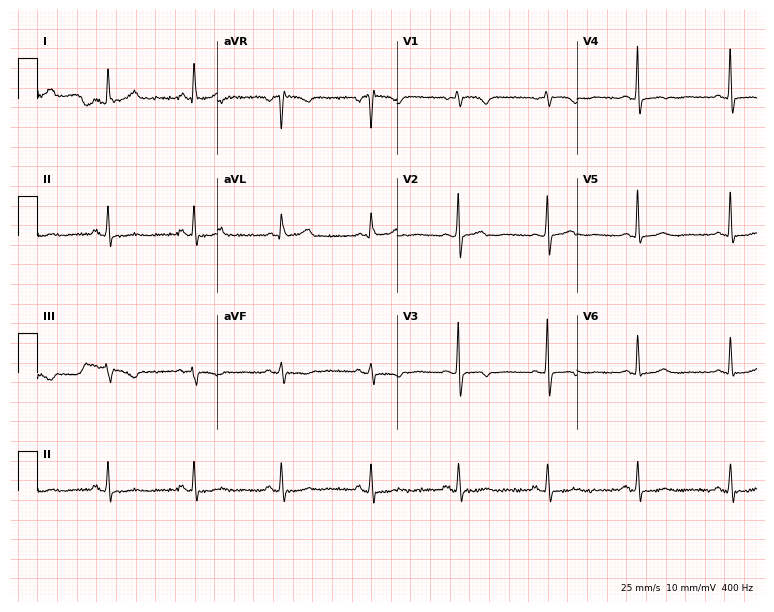
12-lead ECG (7.3-second recording at 400 Hz) from a 61-year-old male. Screened for six findings — first-degree AV block, right bundle branch block, left bundle branch block, sinus bradycardia, atrial fibrillation, sinus tachycardia — none is recorded.